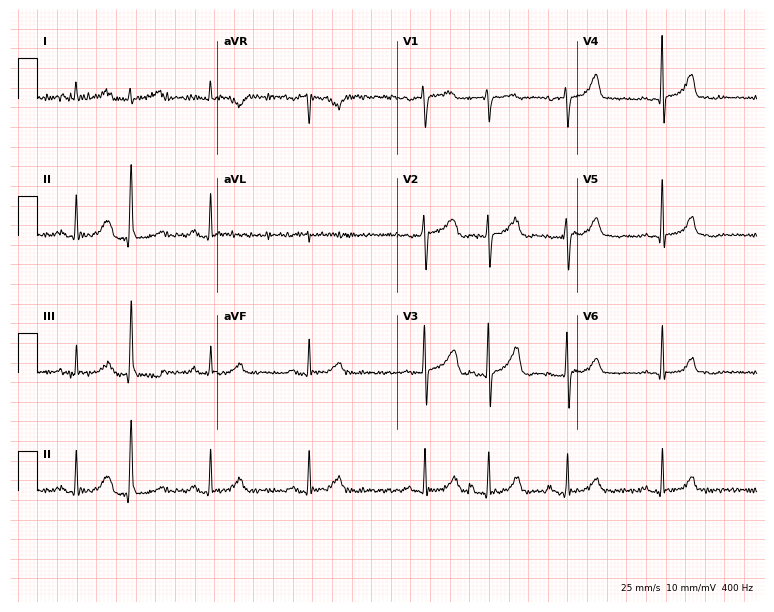
12-lead ECG from a man, 76 years old. Screened for six findings — first-degree AV block, right bundle branch block, left bundle branch block, sinus bradycardia, atrial fibrillation, sinus tachycardia — none is recorded.